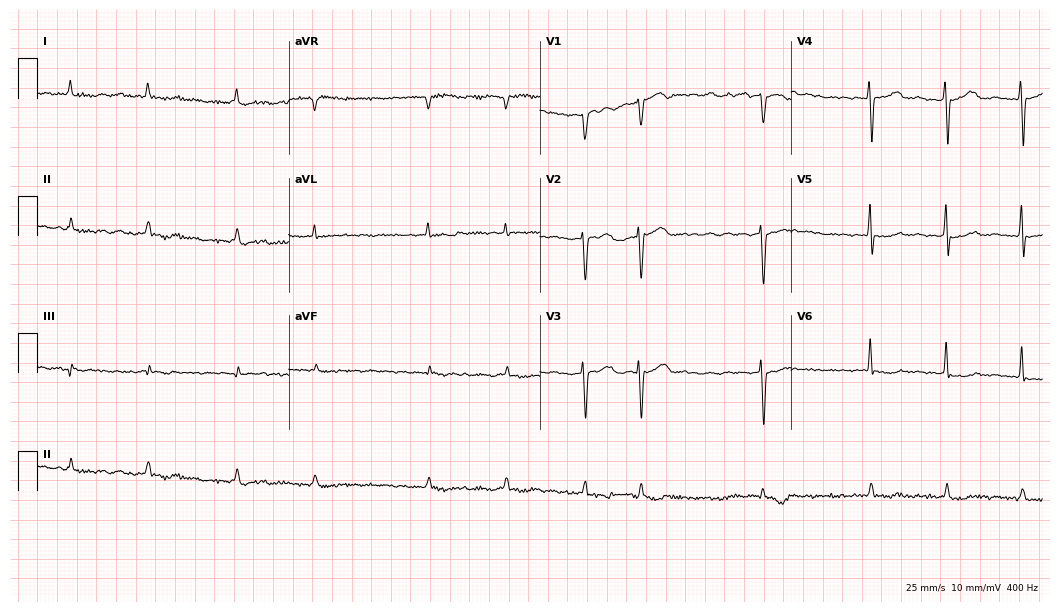
ECG — an 80-year-old female. Screened for six findings — first-degree AV block, right bundle branch block (RBBB), left bundle branch block (LBBB), sinus bradycardia, atrial fibrillation (AF), sinus tachycardia — none is recorded. Only these six findings were labelled.